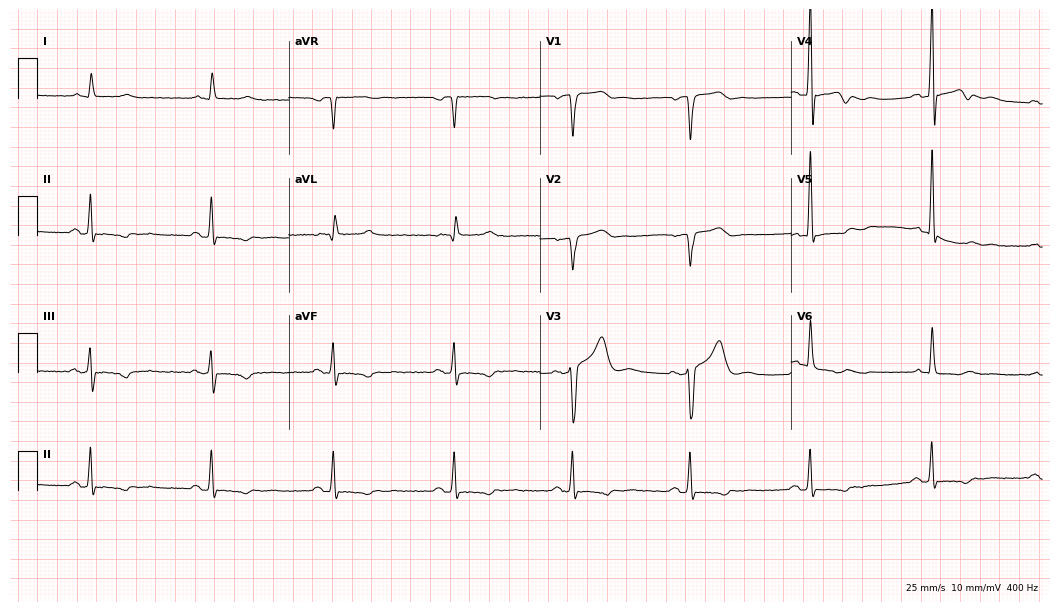
Resting 12-lead electrocardiogram. Patient: a 61-year-old male. None of these six findings is recorded: first-degree AV block, right bundle branch block (RBBB), left bundle branch block (LBBB), sinus bradycardia, atrial fibrillation (AF), sinus tachycardia. Other findings, if any, are not listed.